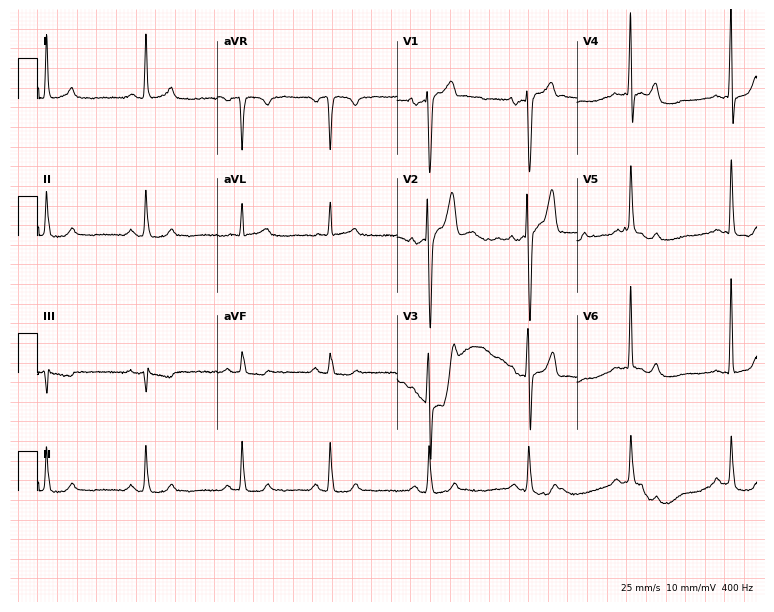
12-lead ECG from a 56-year-old man (7.3-second recording at 400 Hz). No first-degree AV block, right bundle branch block, left bundle branch block, sinus bradycardia, atrial fibrillation or sinus tachycardia recorded for this tracing. Other findings, if any, are not listed.